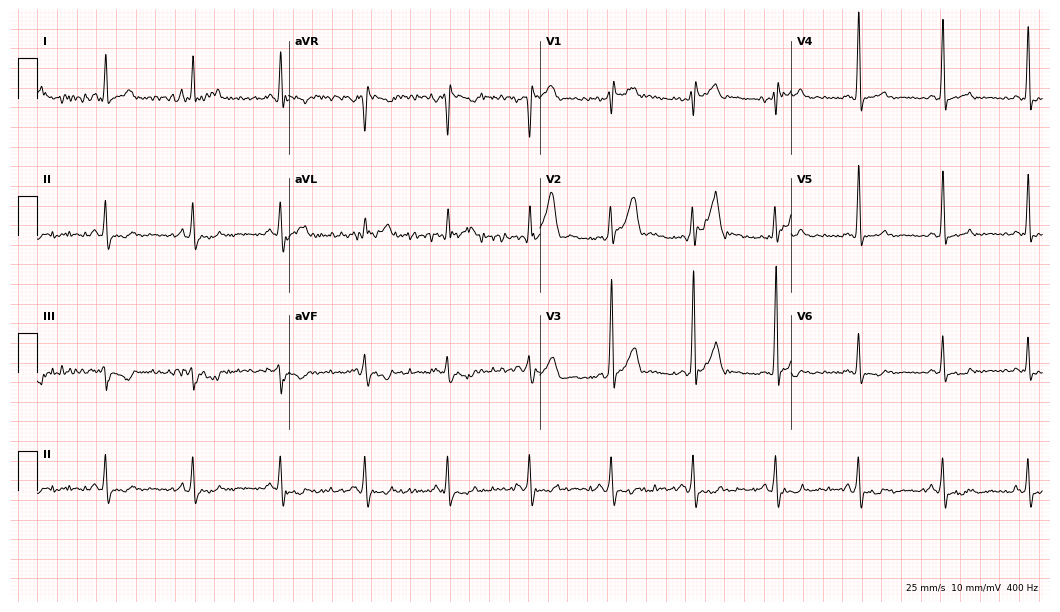
Resting 12-lead electrocardiogram. Patient: a man, 28 years old. None of these six findings is recorded: first-degree AV block, right bundle branch block (RBBB), left bundle branch block (LBBB), sinus bradycardia, atrial fibrillation (AF), sinus tachycardia.